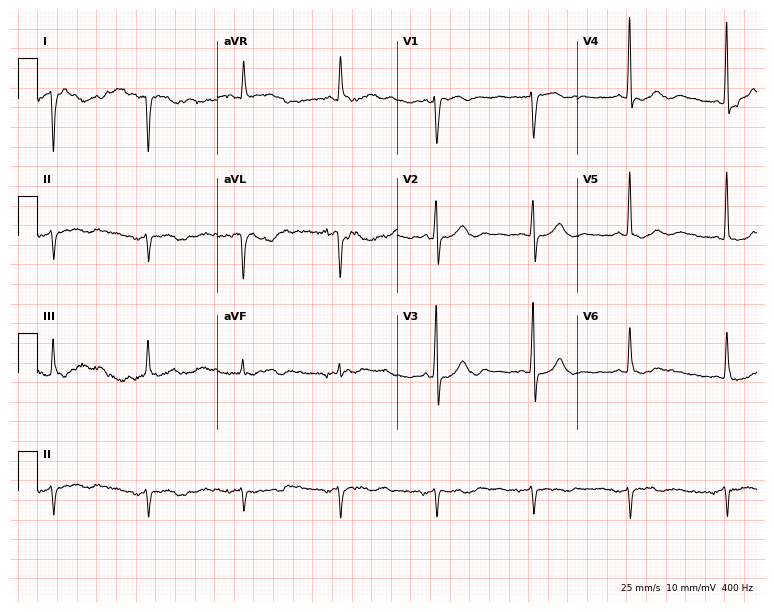
Standard 12-lead ECG recorded from a 65-year-old female patient. None of these six findings is recorded: first-degree AV block, right bundle branch block, left bundle branch block, sinus bradycardia, atrial fibrillation, sinus tachycardia. Findings outside these six are not listed.